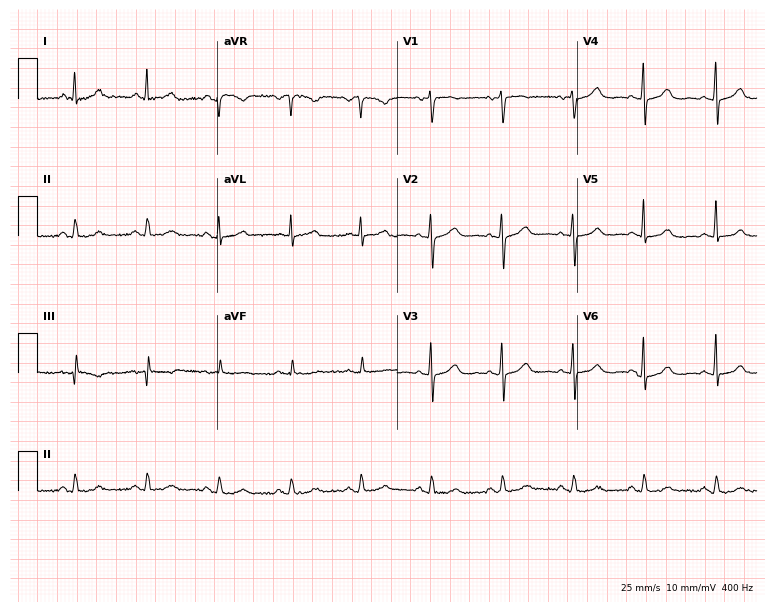
12-lead ECG from a woman, 68 years old. No first-degree AV block, right bundle branch block (RBBB), left bundle branch block (LBBB), sinus bradycardia, atrial fibrillation (AF) or sinus tachycardia recorded for this tracing. Other findings, if any, are not listed.